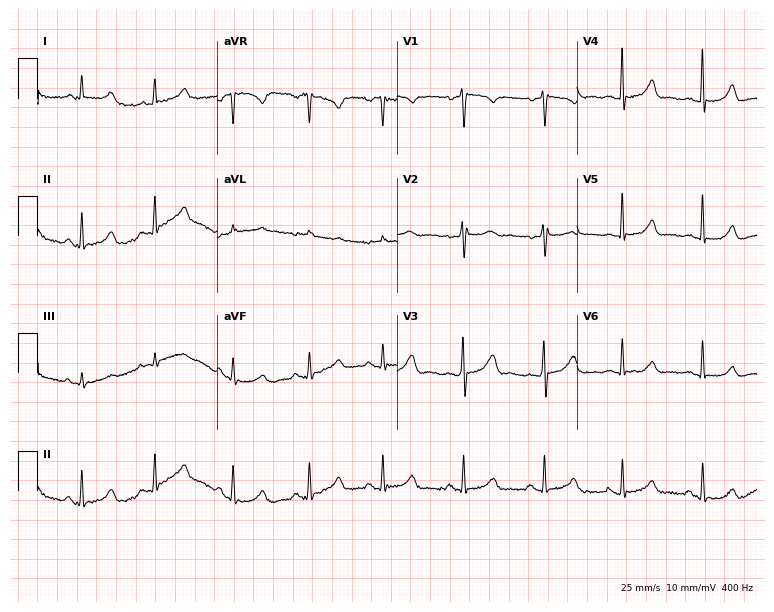
Resting 12-lead electrocardiogram. Patient: a female, 32 years old. Read as a normal ECG.